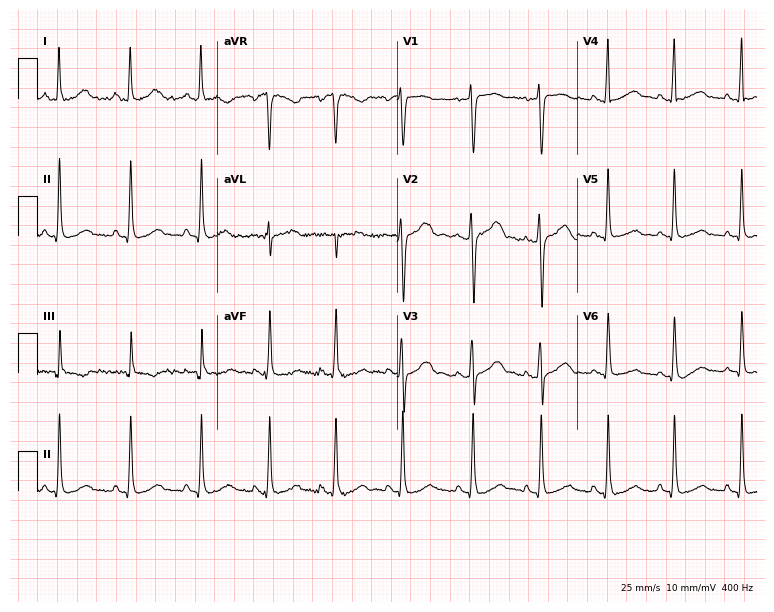
12-lead ECG from a female patient, 51 years old. No first-degree AV block, right bundle branch block (RBBB), left bundle branch block (LBBB), sinus bradycardia, atrial fibrillation (AF) or sinus tachycardia recorded for this tracing.